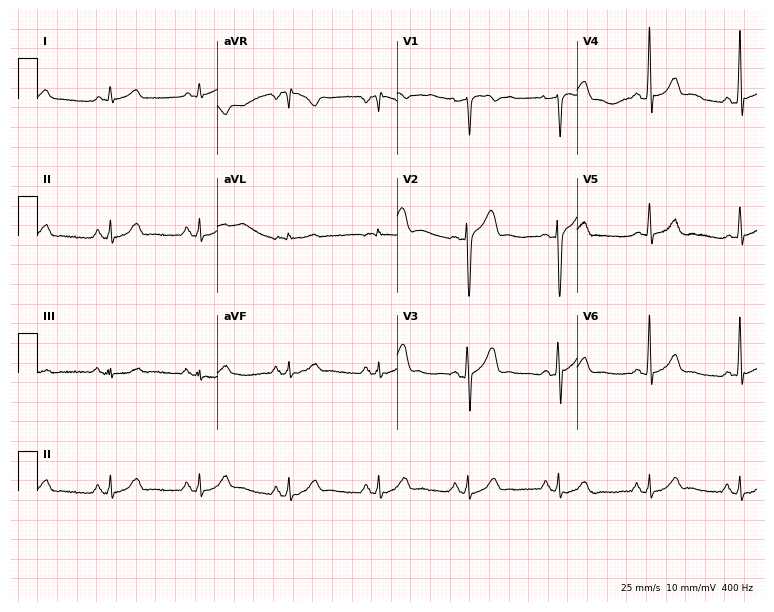
Electrocardiogram, a 63-year-old man. Overall reading on record: normal ECG.